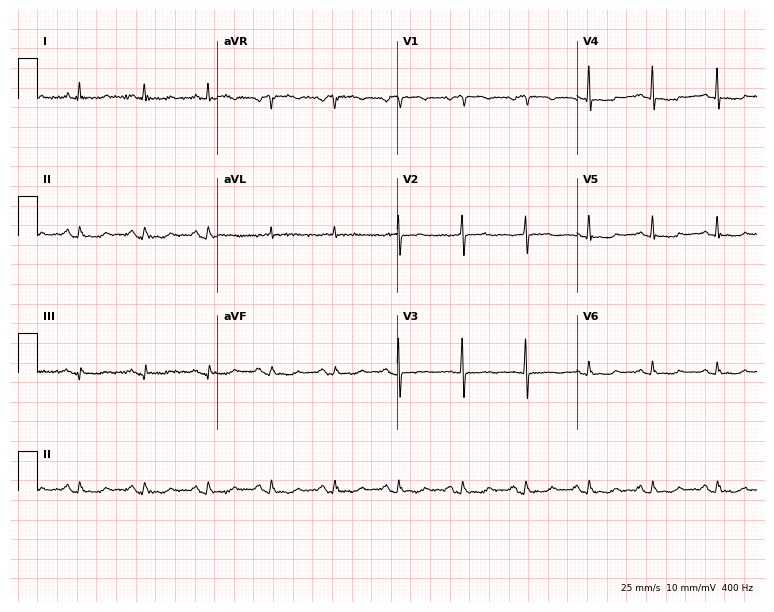
Standard 12-lead ECG recorded from a female, 71 years old. Read as a normal ECG.